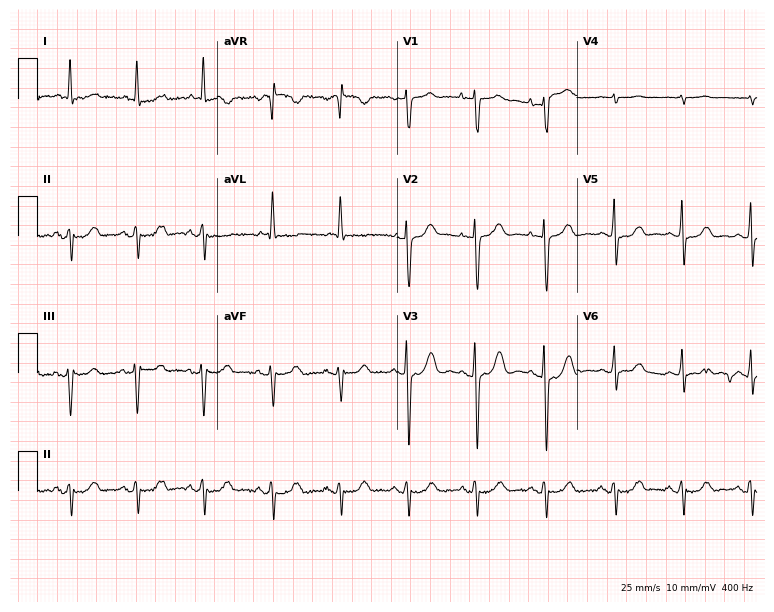
12-lead ECG (7.3-second recording at 400 Hz) from a female, 78 years old. Screened for six findings — first-degree AV block, right bundle branch block, left bundle branch block, sinus bradycardia, atrial fibrillation, sinus tachycardia — none is recorded.